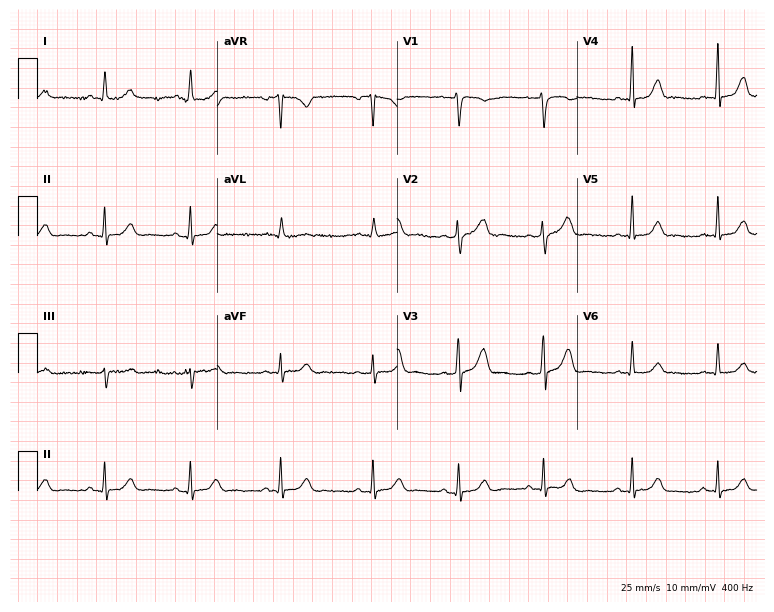
Resting 12-lead electrocardiogram (7.3-second recording at 400 Hz). Patient: a 23-year-old woman. Read as a normal ECG.